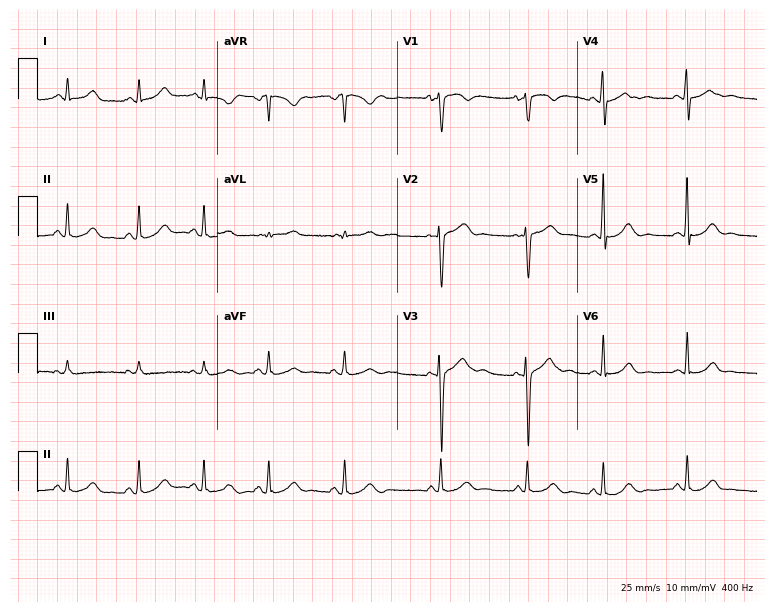
ECG (7.3-second recording at 400 Hz) — a 19-year-old female patient. Labelled as a normal ECG.